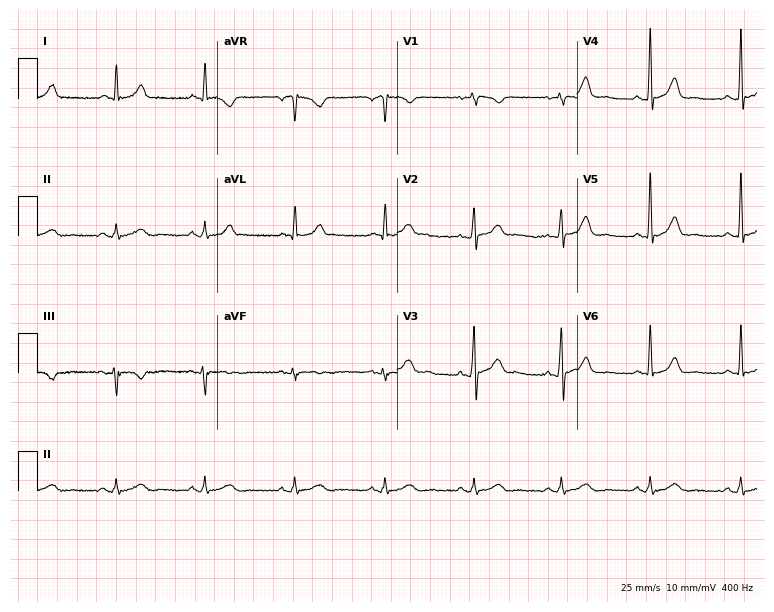
12-lead ECG from a male patient, 47 years old (7.3-second recording at 400 Hz). Recorded interpretation: within normal limits.